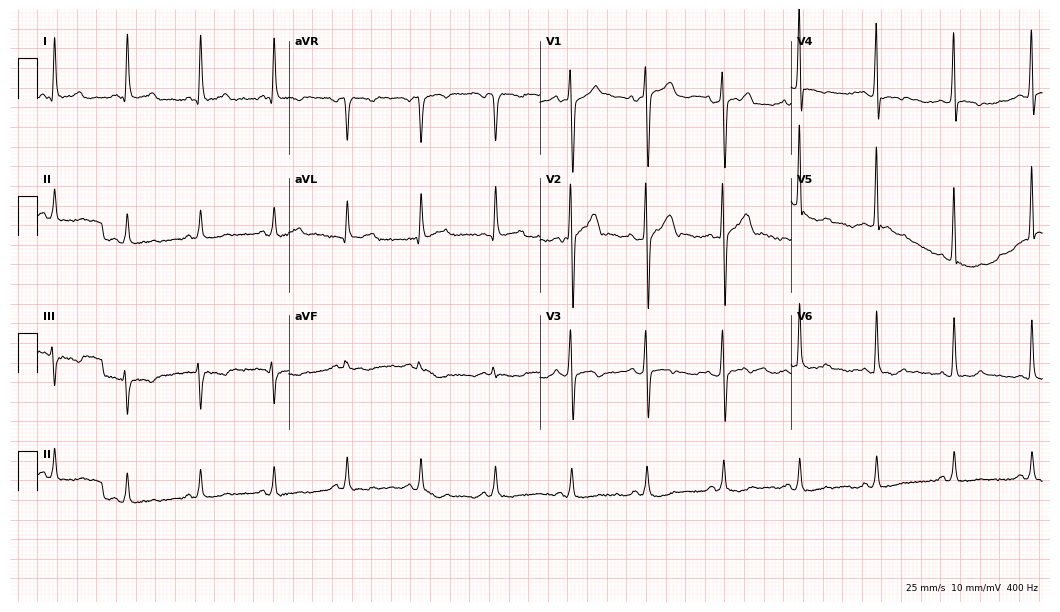
Resting 12-lead electrocardiogram. Patient: a 32-year-old male. Read as a normal ECG.